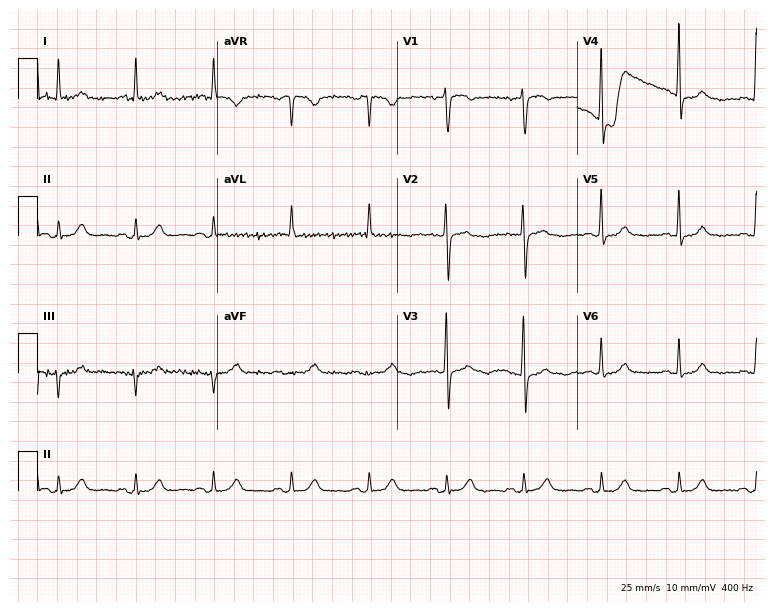
12-lead ECG (7.3-second recording at 400 Hz) from a female, 71 years old. Labelled as a normal ECG.